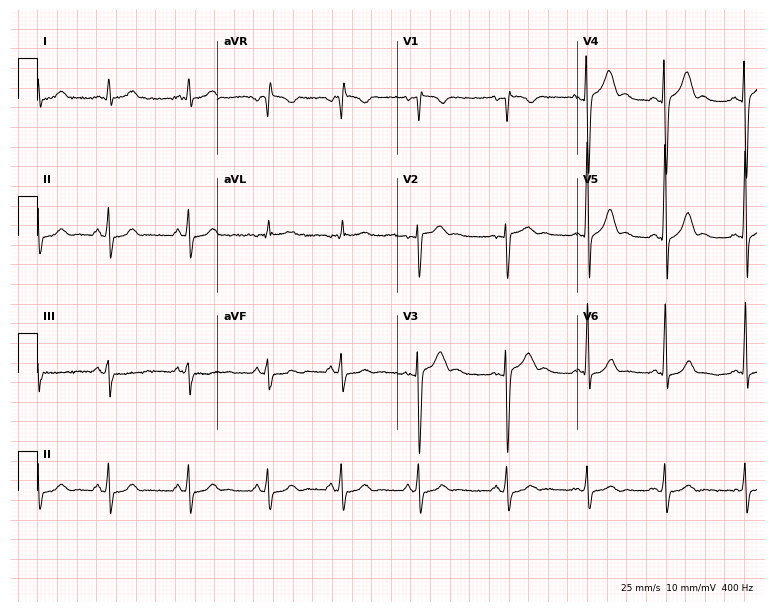
Standard 12-lead ECG recorded from an 18-year-old male. None of these six findings is recorded: first-degree AV block, right bundle branch block (RBBB), left bundle branch block (LBBB), sinus bradycardia, atrial fibrillation (AF), sinus tachycardia.